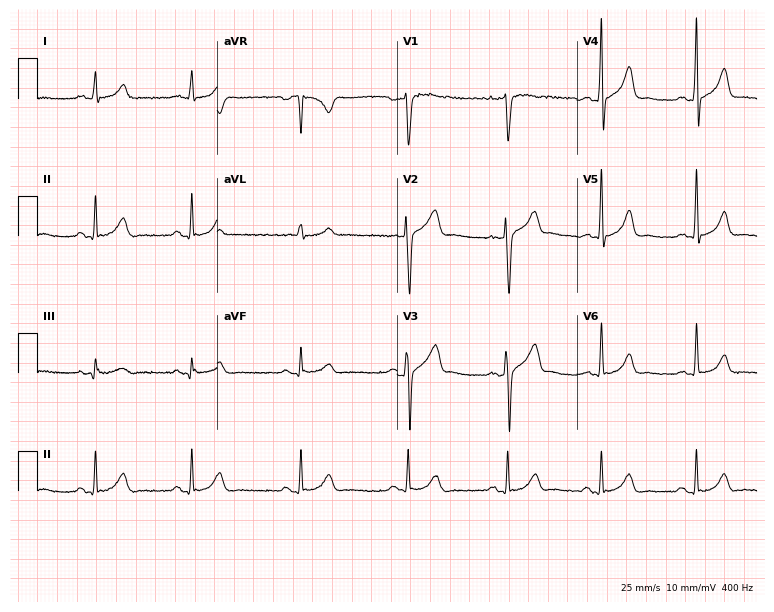
ECG — a man, 25 years old. Labelled as a normal ECG.